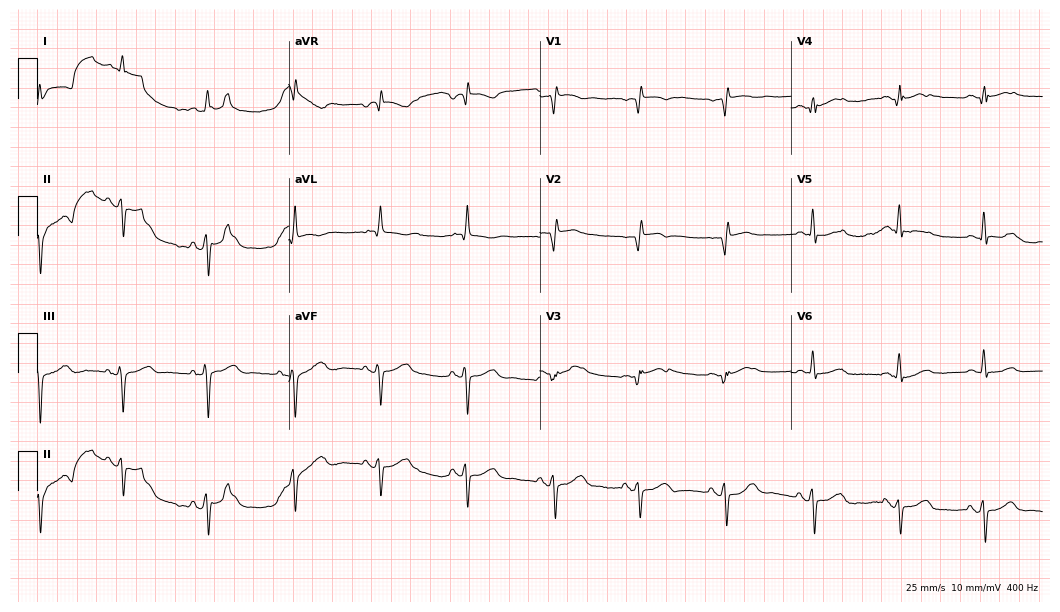
Standard 12-lead ECG recorded from a female patient, 74 years old. None of these six findings is recorded: first-degree AV block, right bundle branch block, left bundle branch block, sinus bradycardia, atrial fibrillation, sinus tachycardia. Only these six findings were labelled.